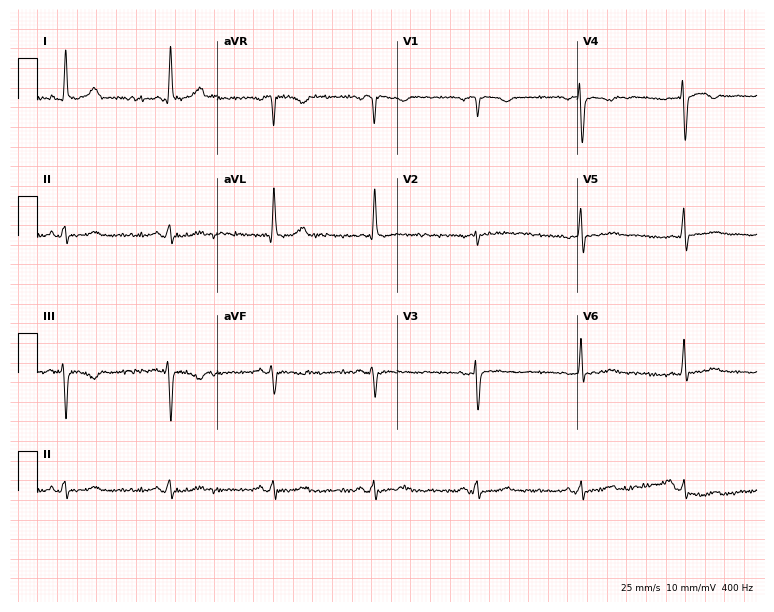
ECG — a 56-year-old female patient. Screened for six findings — first-degree AV block, right bundle branch block, left bundle branch block, sinus bradycardia, atrial fibrillation, sinus tachycardia — none is recorded.